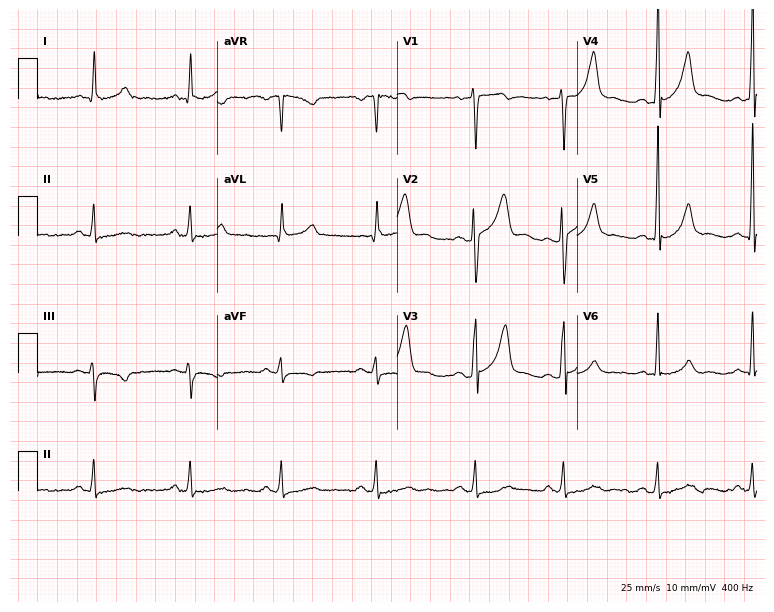
12-lead ECG from a male patient, 50 years old (7.3-second recording at 400 Hz). No first-degree AV block, right bundle branch block, left bundle branch block, sinus bradycardia, atrial fibrillation or sinus tachycardia recorded for this tracing. Findings outside these six are not listed.